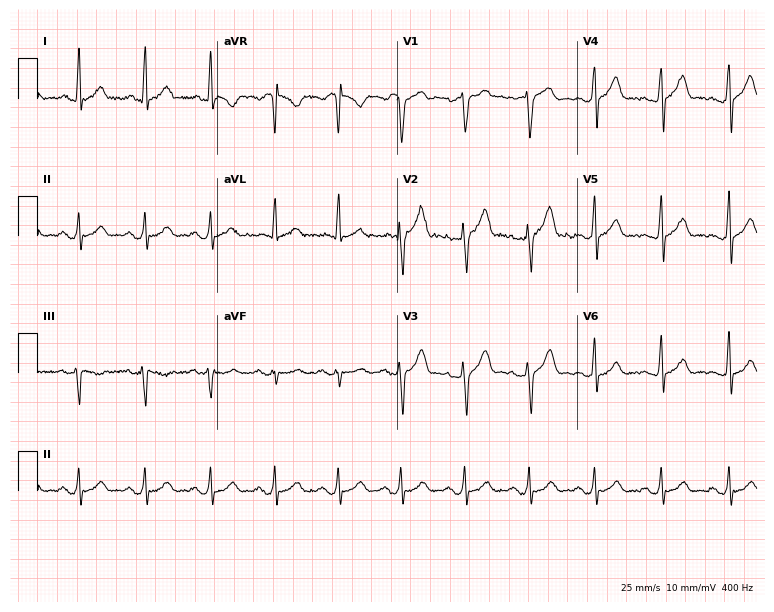
12-lead ECG from a male patient, 35 years old. No first-degree AV block, right bundle branch block (RBBB), left bundle branch block (LBBB), sinus bradycardia, atrial fibrillation (AF) or sinus tachycardia recorded for this tracing.